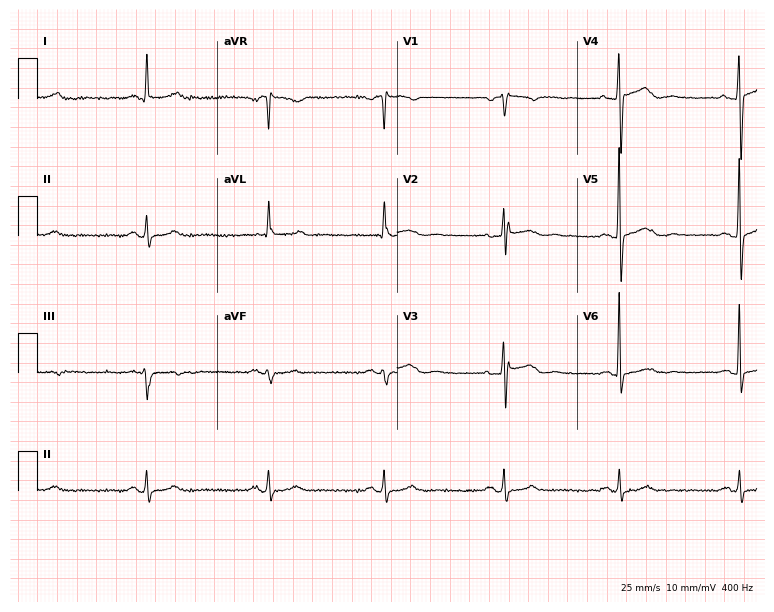
ECG — a 62-year-old woman. Screened for six findings — first-degree AV block, right bundle branch block, left bundle branch block, sinus bradycardia, atrial fibrillation, sinus tachycardia — none is recorded.